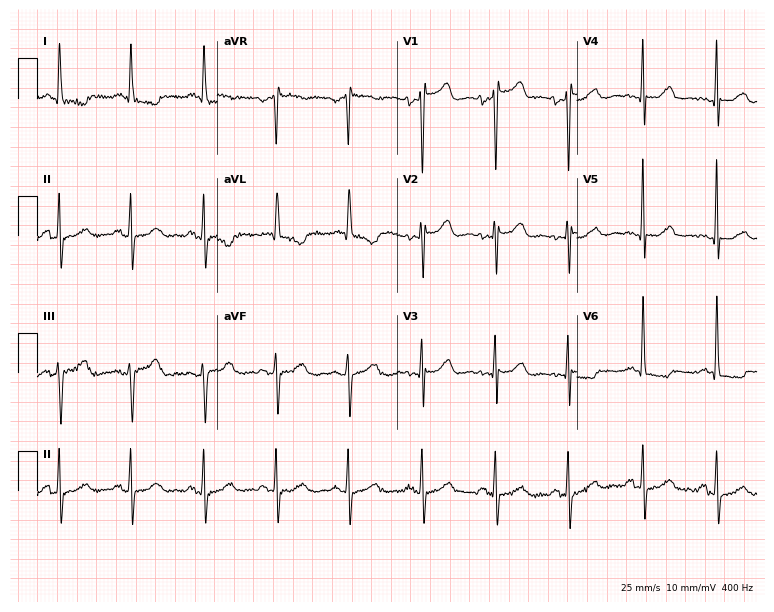
12-lead ECG from a female patient, 83 years old (7.3-second recording at 400 Hz). No first-degree AV block, right bundle branch block, left bundle branch block, sinus bradycardia, atrial fibrillation or sinus tachycardia recorded for this tracing. Other findings, if any, are not listed.